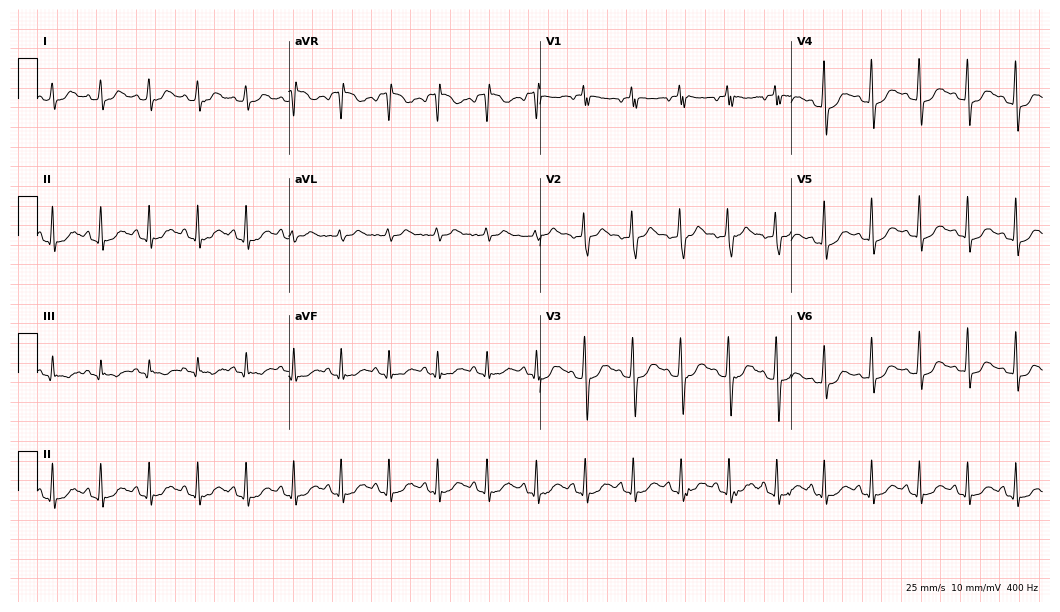
Resting 12-lead electrocardiogram (10.2-second recording at 400 Hz). Patient: a female, 17 years old. None of these six findings is recorded: first-degree AV block, right bundle branch block, left bundle branch block, sinus bradycardia, atrial fibrillation, sinus tachycardia.